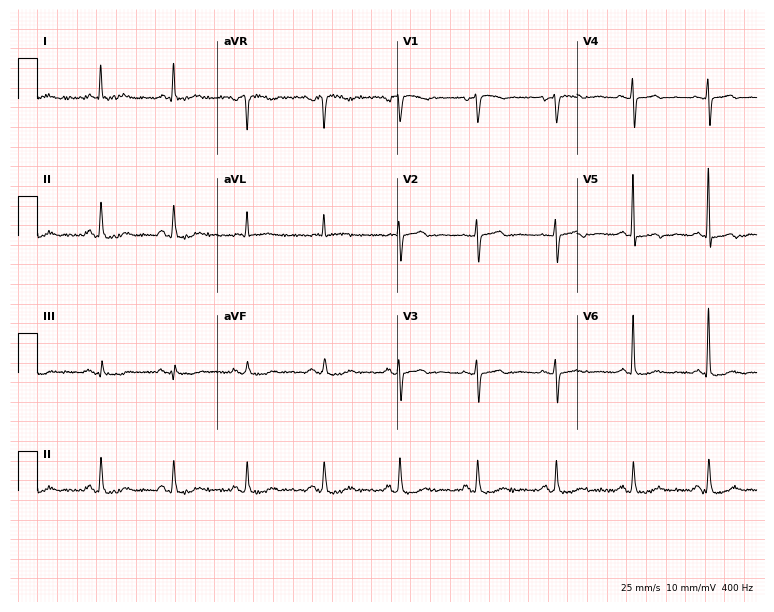
Electrocardiogram (7.3-second recording at 400 Hz), a 75-year-old female patient. Of the six screened findings (first-degree AV block, right bundle branch block, left bundle branch block, sinus bradycardia, atrial fibrillation, sinus tachycardia), none is recorded.